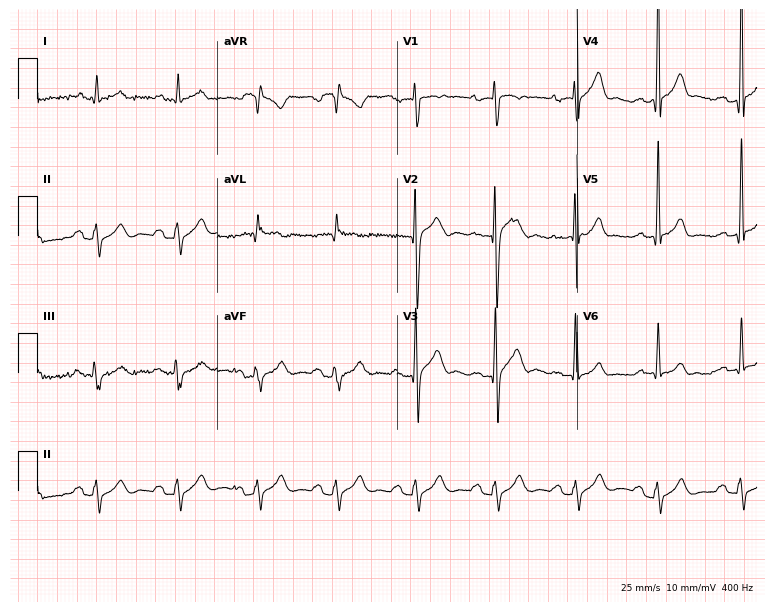
Electrocardiogram, a 31-year-old male patient. Interpretation includes first-degree AV block.